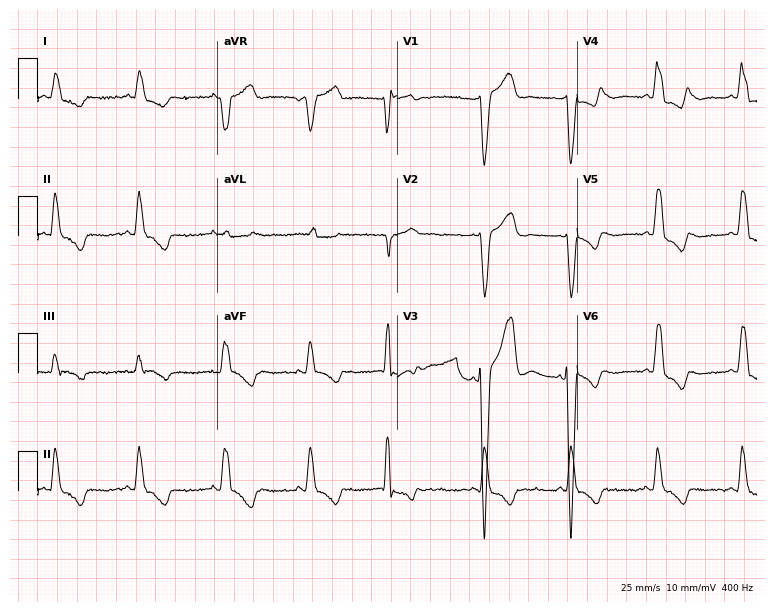
Electrocardiogram, a man, 84 years old. Interpretation includes left bundle branch block.